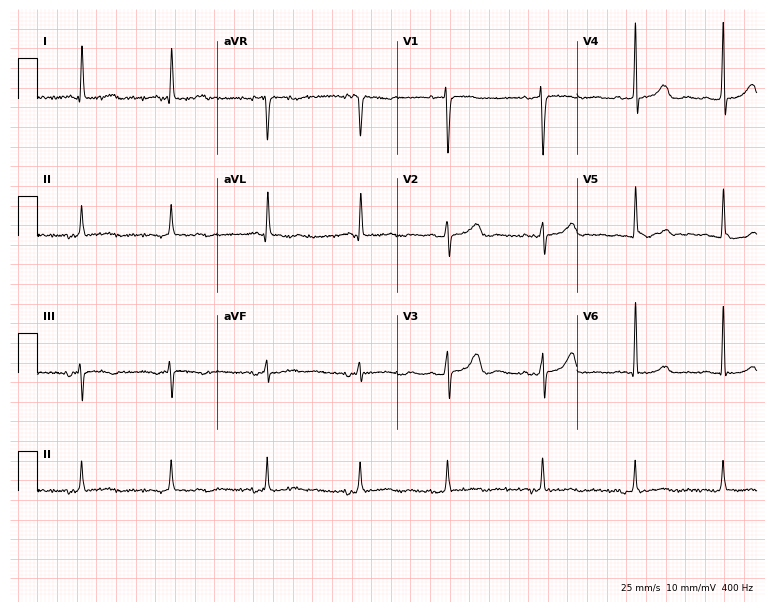
12-lead ECG from an 82-year-old woman. Recorded interpretation: within normal limits.